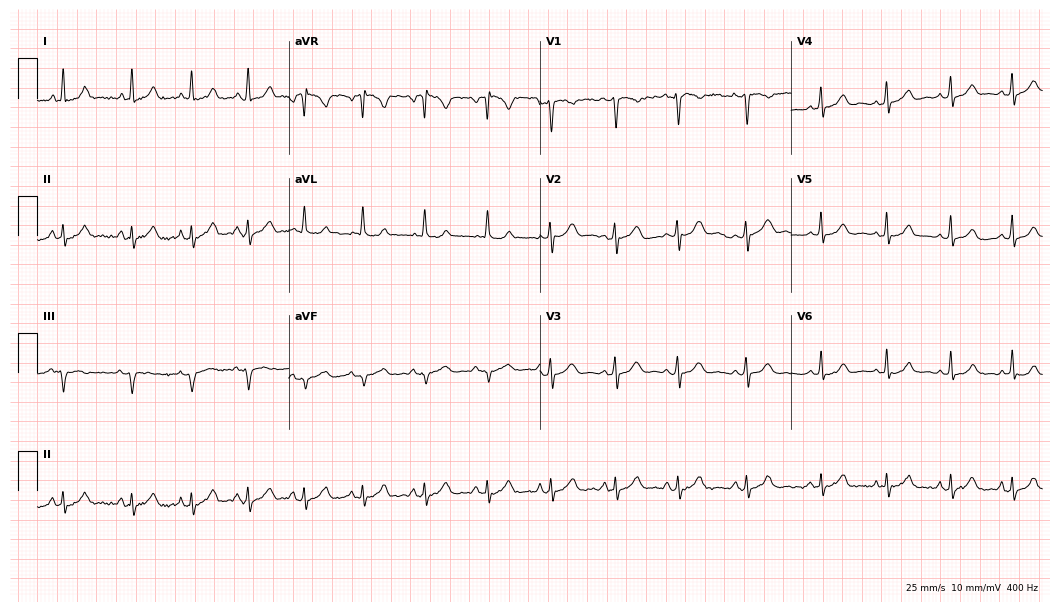
Standard 12-lead ECG recorded from a female patient, 24 years old. Read as a normal ECG.